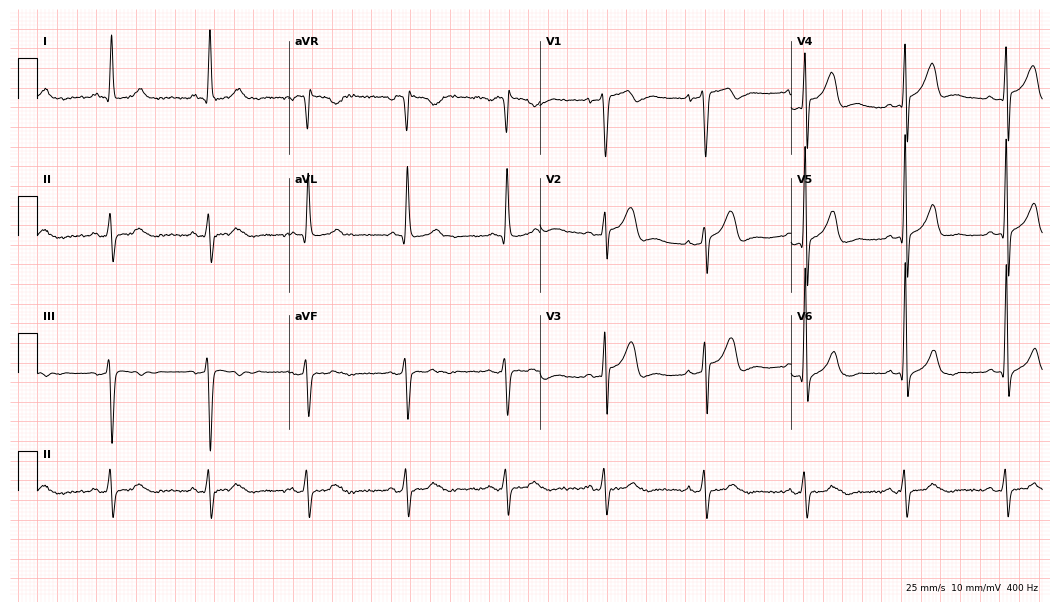
Resting 12-lead electrocardiogram. Patient: a 69-year-old male. None of these six findings is recorded: first-degree AV block, right bundle branch block, left bundle branch block, sinus bradycardia, atrial fibrillation, sinus tachycardia.